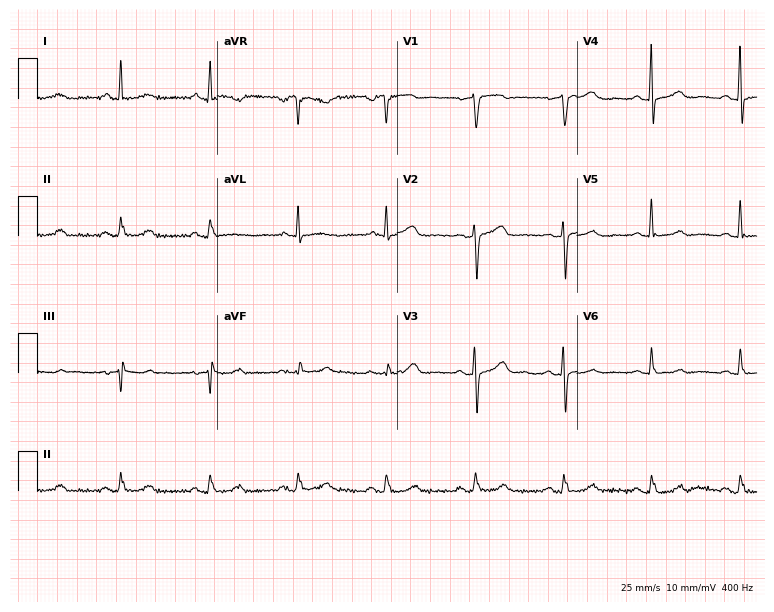
Electrocardiogram, a 65-year-old woman. Overall reading on record: normal ECG.